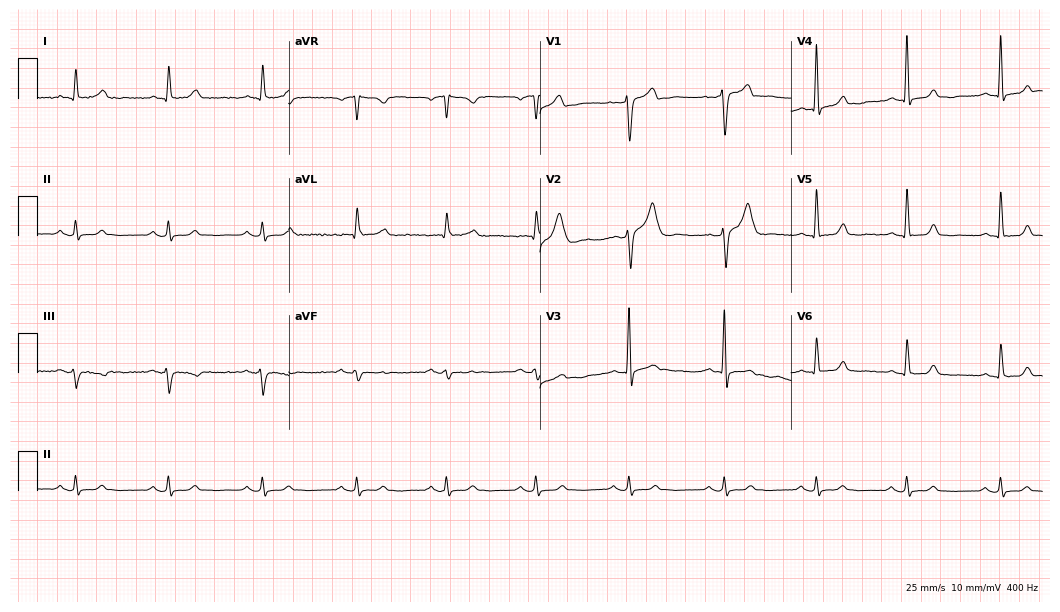
ECG — a 48-year-old man. Screened for six findings — first-degree AV block, right bundle branch block, left bundle branch block, sinus bradycardia, atrial fibrillation, sinus tachycardia — none is recorded.